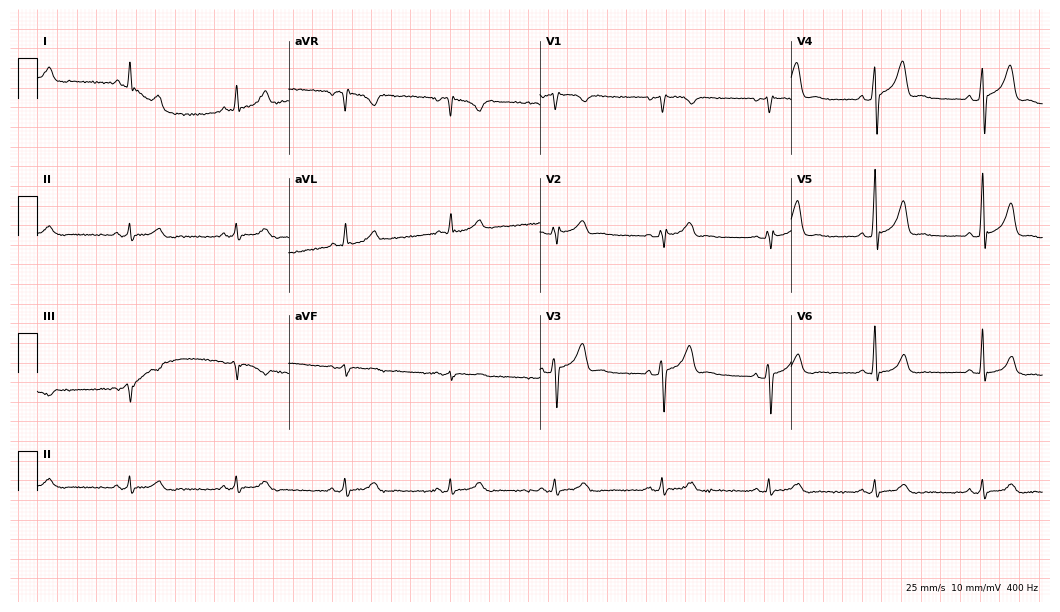
12-lead ECG from a male, 53 years old. Recorded interpretation: within normal limits.